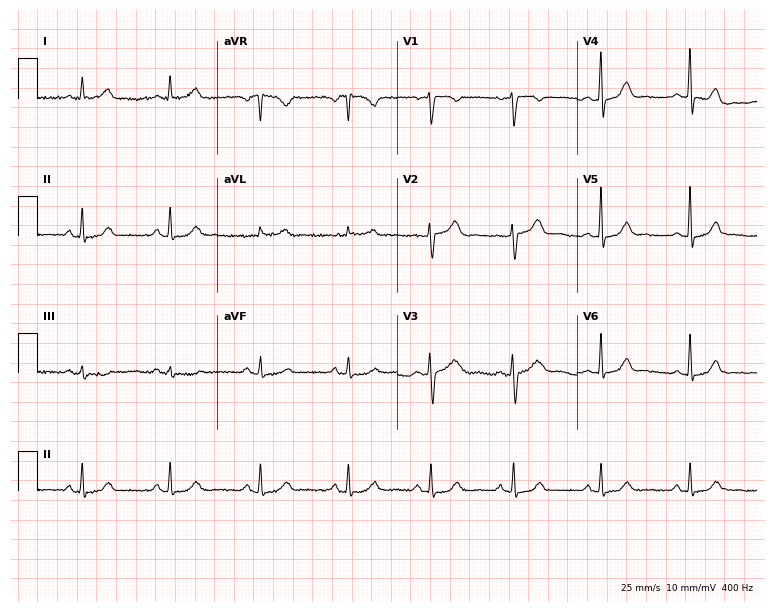
Resting 12-lead electrocardiogram (7.3-second recording at 400 Hz). Patient: a 43-year-old woman. None of these six findings is recorded: first-degree AV block, right bundle branch block, left bundle branch block, sinus bradycardia, atrial fibrillation, sinus tachycardia. Other findings, if any, are not listed.